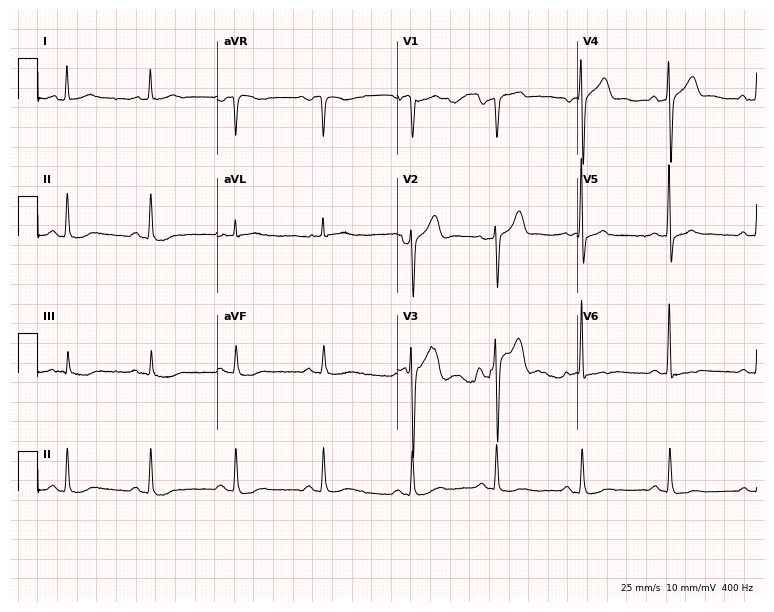
Resting 12-lead electrocardiogram. Patient: a man, 69 years old. Read as a normal ECG.